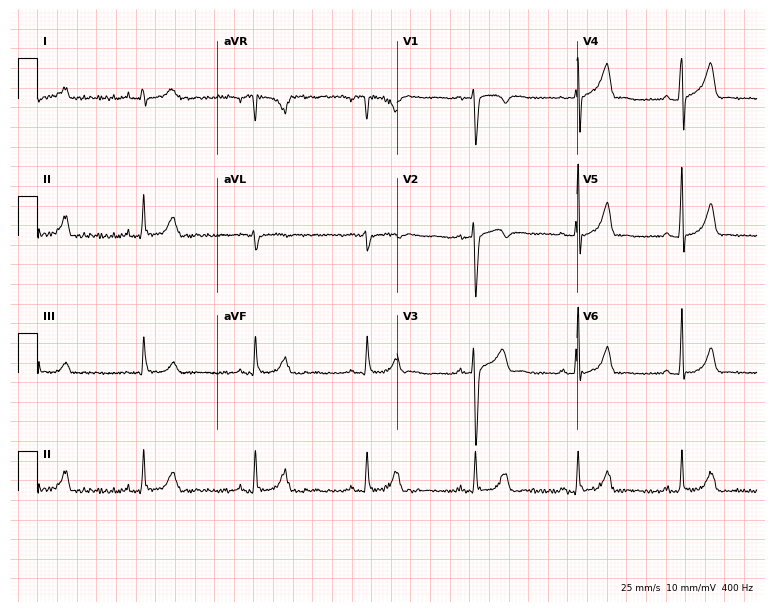
ECG — a 26-year-old man. Labelled as a normal ECG.